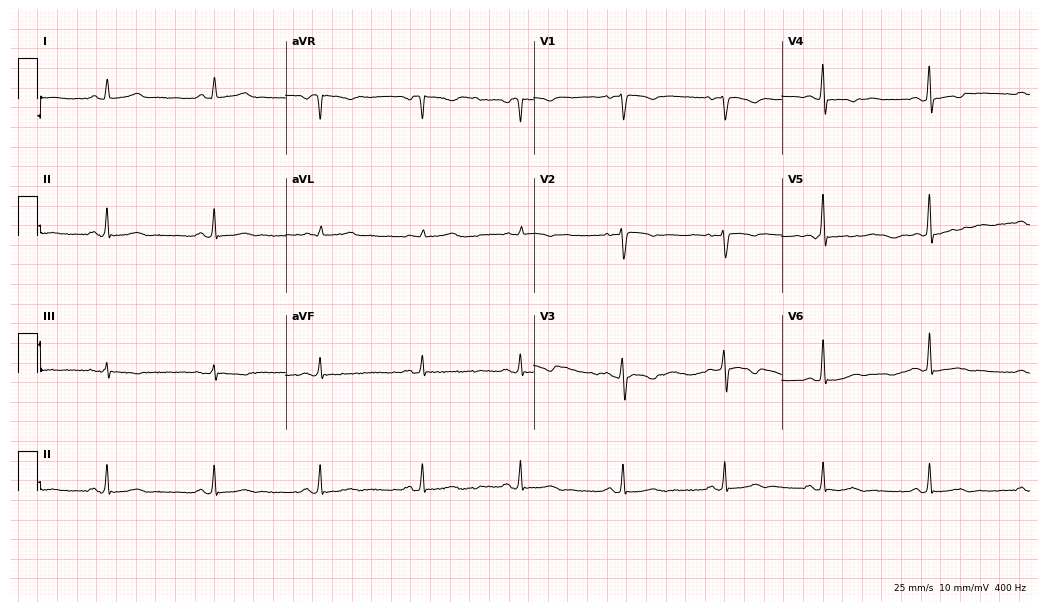
Resting 12-lead electrocardiogram. Patient: a 61-year-old female. None of these six findings is recorded: first-degree AV block, right bundle branch block, left bundle branch block, sinus bradycardia, atrial fibrillation, sinus tachycardia. Findings outside these six are not listed.